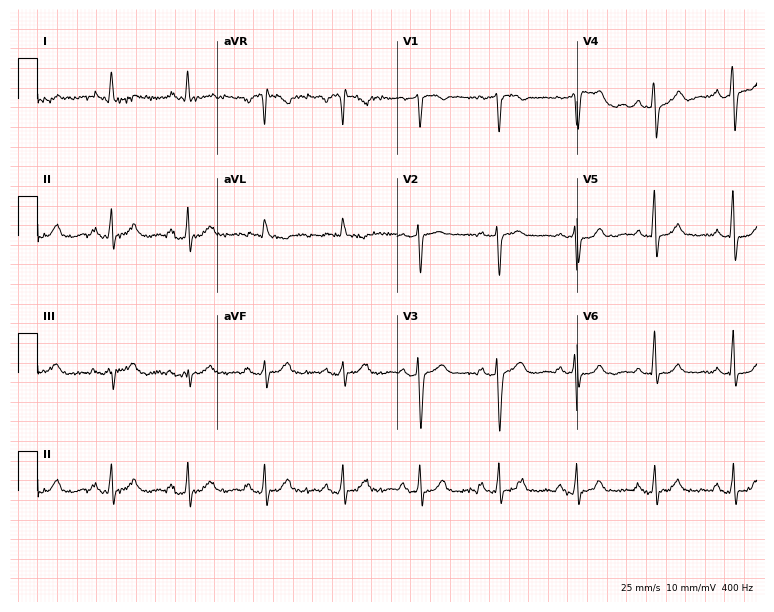
Resting 12-lead electrocardiogram (7.3-second recording at 400 Hz). Patient: a female, 68 years old. None of these six findings is recorded: first-degree AV block, right bundle branch block, left bundle branch block, sinus bradycardia, atrial fibrillation, sinus tachycardia. Only these six findings were labelled.